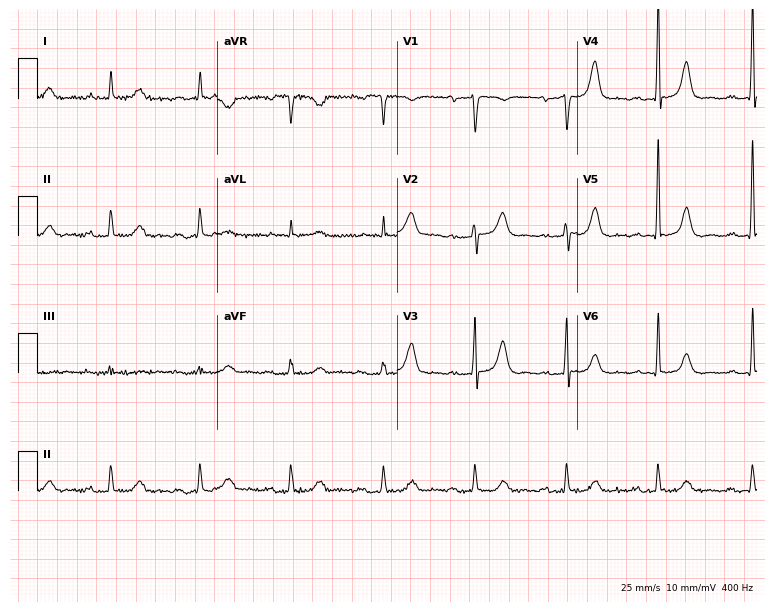
ECG — a man, 79 years old. Findings include first-degree AV block.